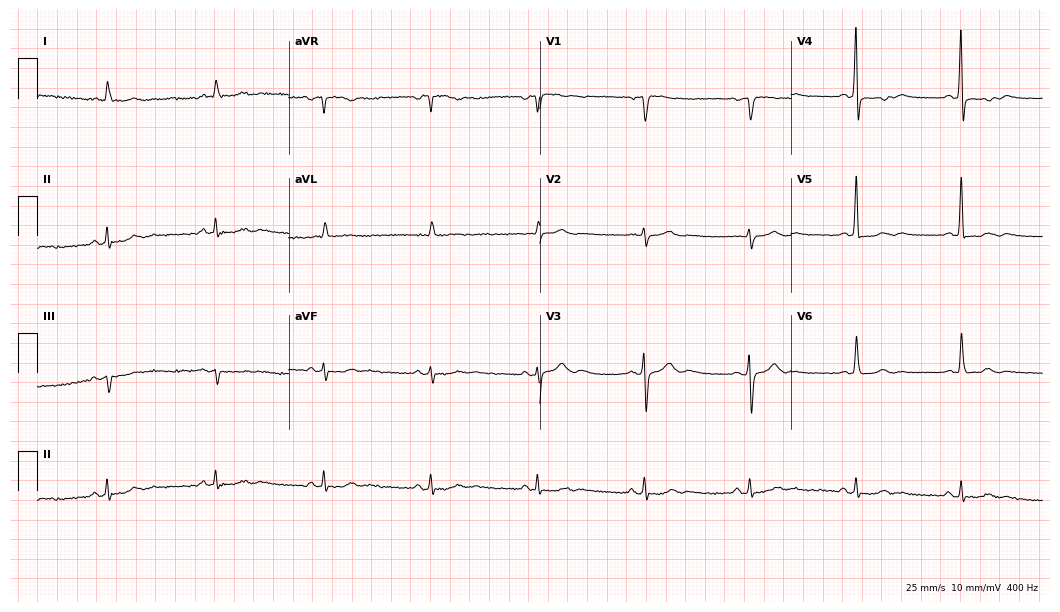
Resting 12-lead electrocardiogram (10.2-second recording at 400 Hz). Patient: a 72-year-old male. None of these six findings is recorded: first-degree AV block, right bundle branch block, left bundle branch block, sinus bradycardia, atrial fibrillation, sinus tachycardia.